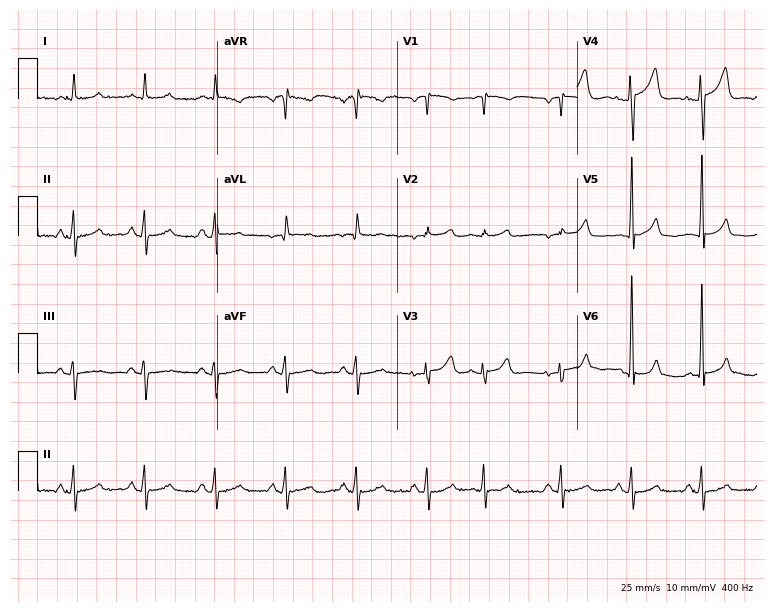
Electrocardiogram, a man, 73 years old. Of the six screened findings (first-degree AV block, right bundle branch block, left bundle branch block, sinus bradycardia, atrial fibrillation, sinus tachycardia), none is recorded. Only these six findings were labelled.